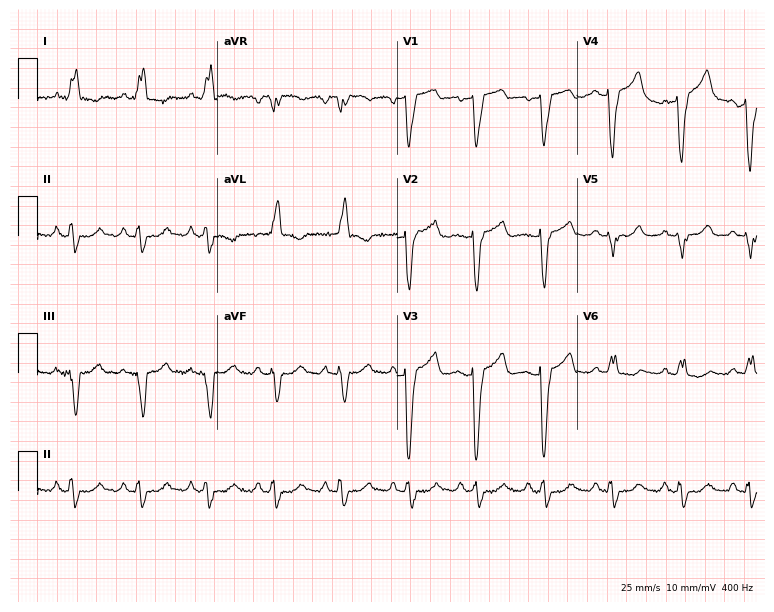
ECG — a 65-year-old woman. Findings include left bundle branch block.